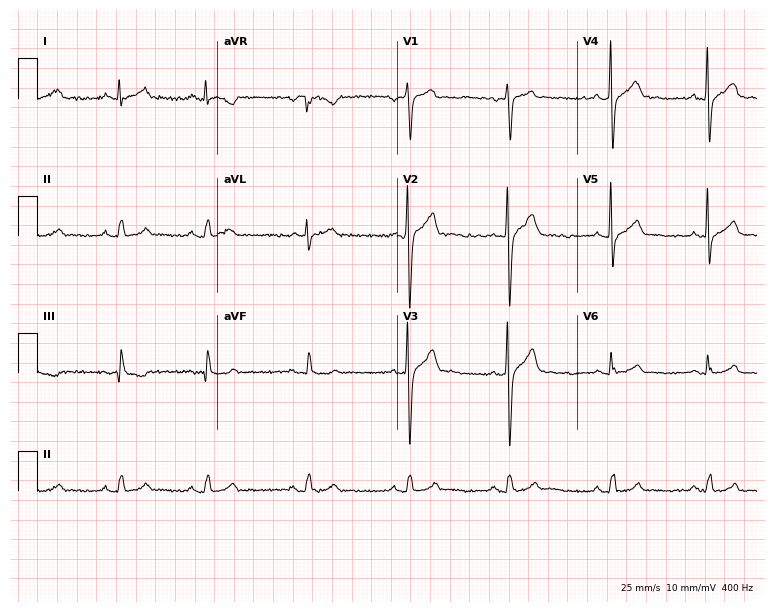
12-lead ECG from a 48-year-old male (7.3-second recording at 400 Hz). Recorded interpretation: within normal limits.